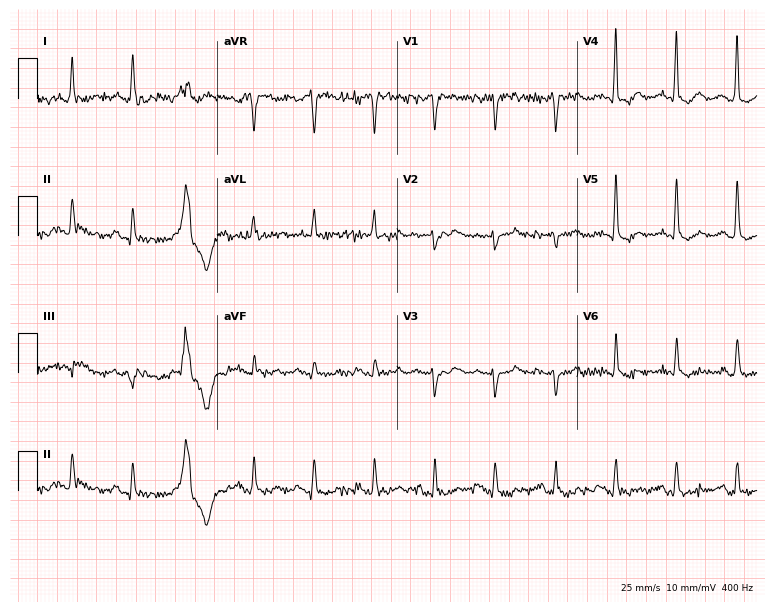
Electrocardiogram, a 70-year-old female. Of the six screened findings (first-degree AV block, right bundle branch block, left bundle branch block, sinus bradycardia, atrial fibrillation, sinus tachycardia), none is recorded.